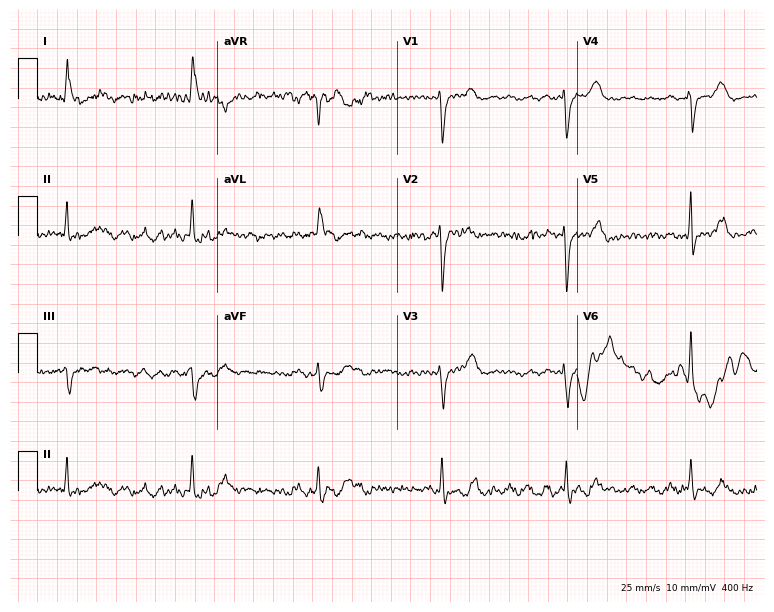
12-lead ECG from a female, 81 years old (7.3-second recording at 400 Hz). No first-degree AV block, right bundle branch block (RBBB), left bundle branch block (LBBB), sinus bradycardia, atrial fibrillation (AF) or sinus tachycardia recorded for this tracing.